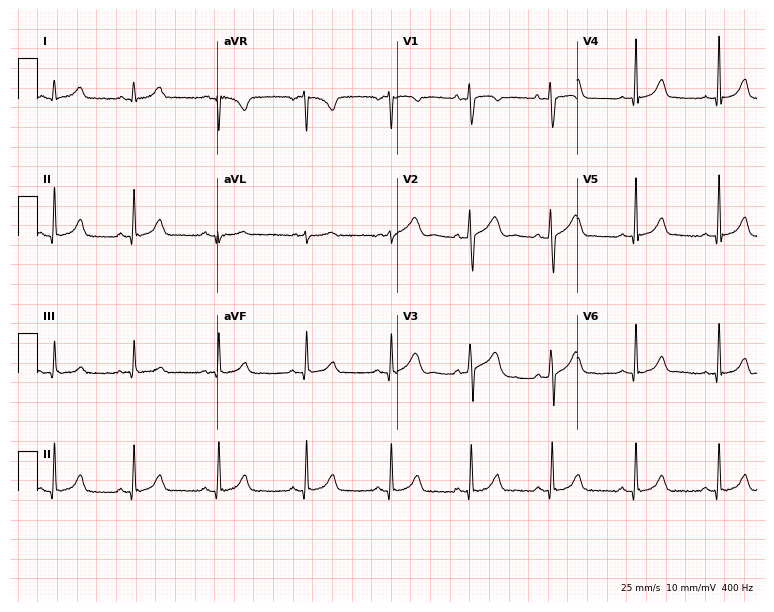
Electrocardiogram (7.3-second recording at 400 Hz), a 30-year-old female patient. Overall reading on record: normal ECG.